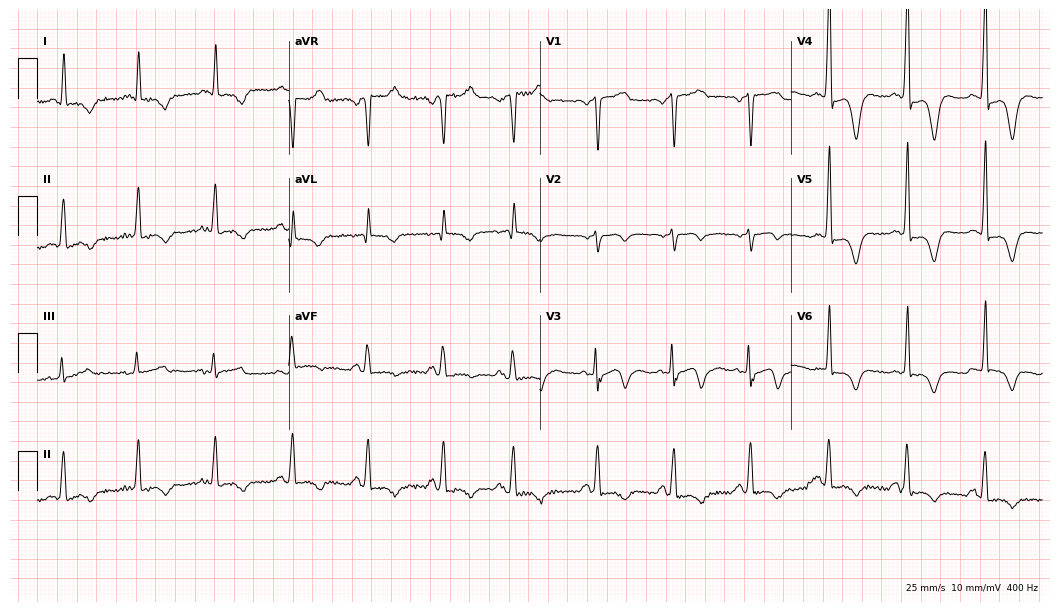
Electrocardiogram (10.2-second recording at 400 Hz), a female patient, 81 years old. Of the six screened findings (first-degree AV block, right bundle branch block, left bundle branch block, sinus bradycardia, atrial fibrillation, sinus tachycardia), none is recorded.